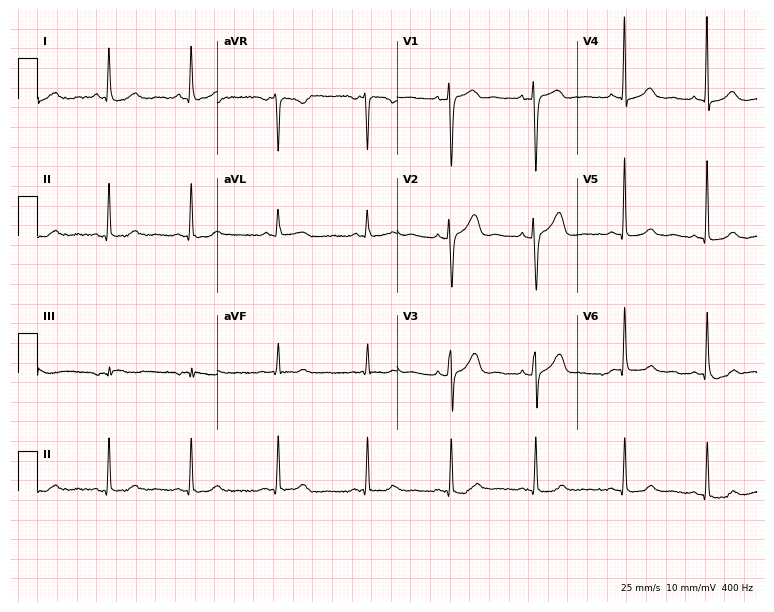
Resting 12-lead electrocardiogram (7.3-second recording at 400 Hz). Patient: a 35-year-old female. Read as a normal ECG.